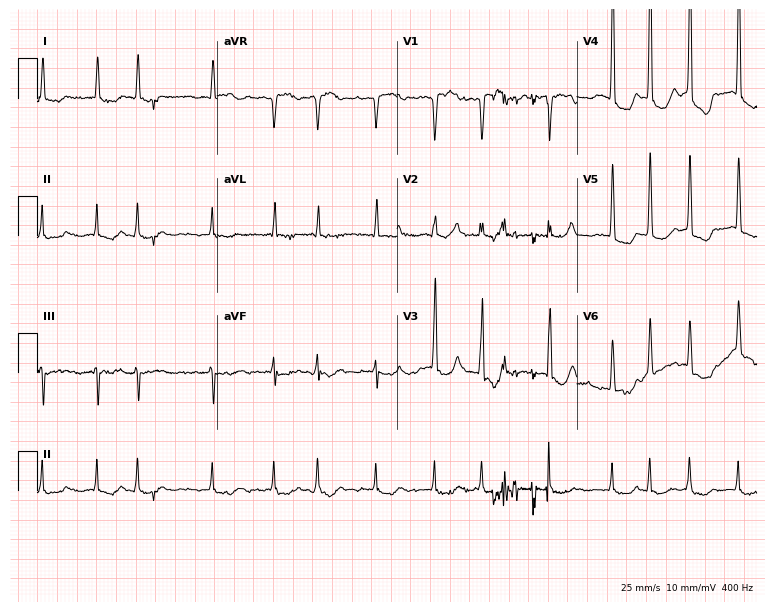
Electrocardiogram (7.3-second recording at 400 Hz), an 83-year-old female patient. Interpretation includes atrial fibrillation (AF).